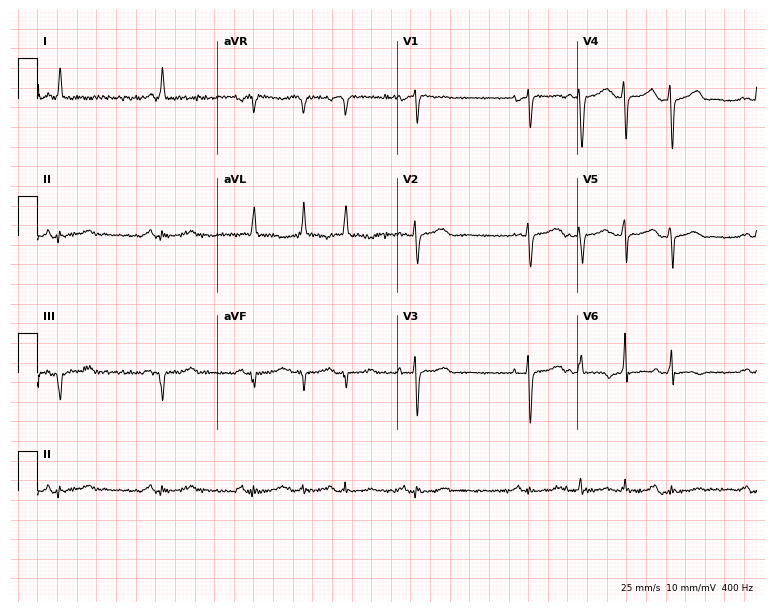
Resting 12-lead electrocardiogram (7.3-second recording at 400 Hz). Patient: a female, 83 years old. None of these six findings is recorded: first-degree AV block, right bundle branch block, left bundle branch block, sinus bradycardia, atrial fibrillation, sinus tachycardia. Other findings, if any, are not listed.